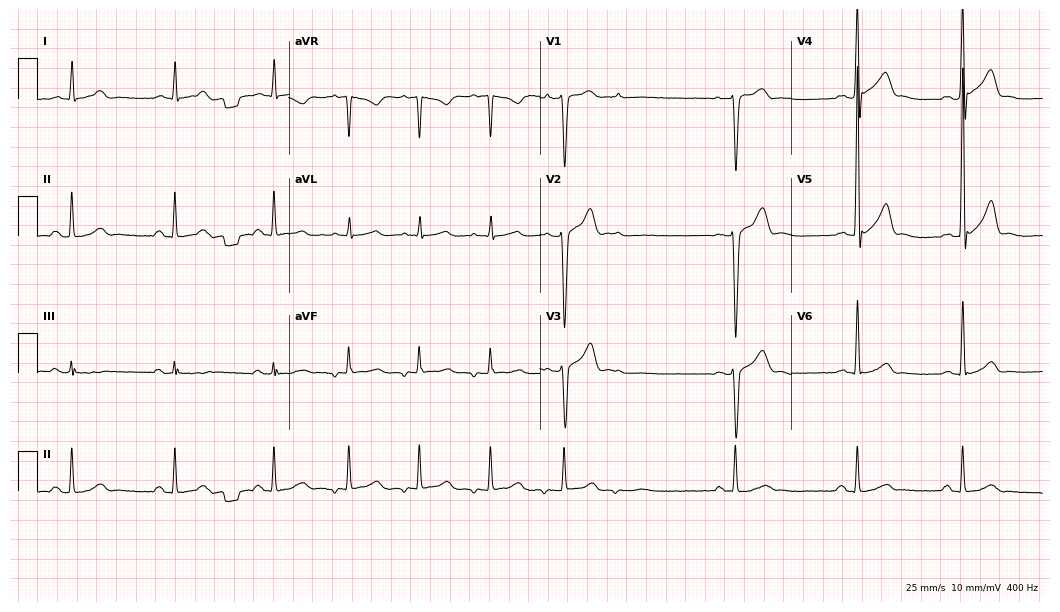
Standard 12-lead ECG recorded from a male, 44 years old. None of these six findings is recorded: first-degree AV block, right bundle branch block, left bundle branch block, sinus bradycardia, atrial fibrillation, sinus tachycardia. Findings outside these six are not listed.